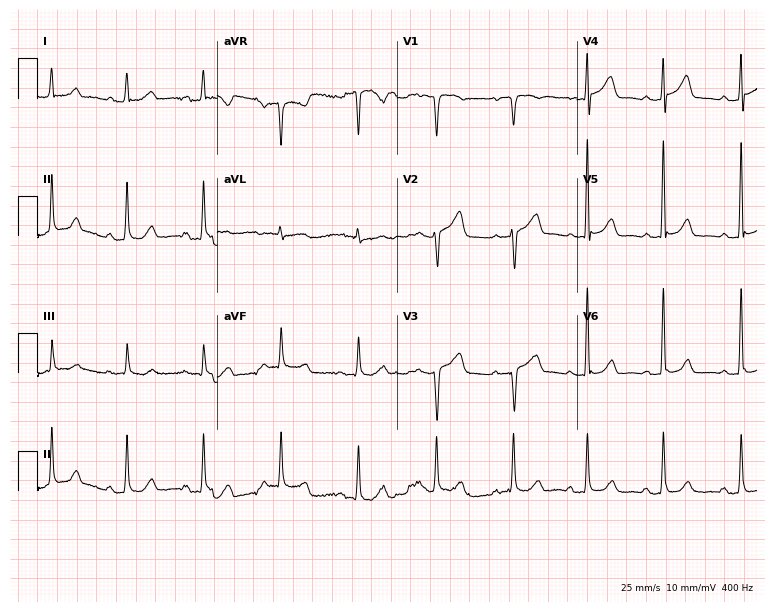
12-lead ECG from a 64-year-old female. No first-degree AV block, right bundle branch block, left bundle branch block, sinus bradycardia, atrial fibrillation or sinus tachycardia recorded for this tracing. Findings outside these six are not listed.